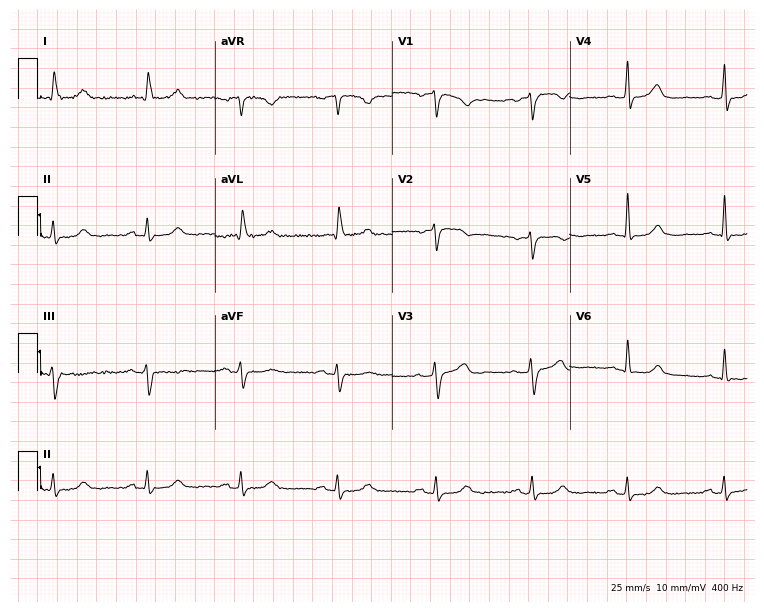
12-lead ECG from a woman, 85 years old. No first-degree AV block, right bundle branch block, left bundle branch block, sinus bradycardia, atrial fibrillation or sinus tachycardia recorded for this tracing. Only these six findings were labelled.